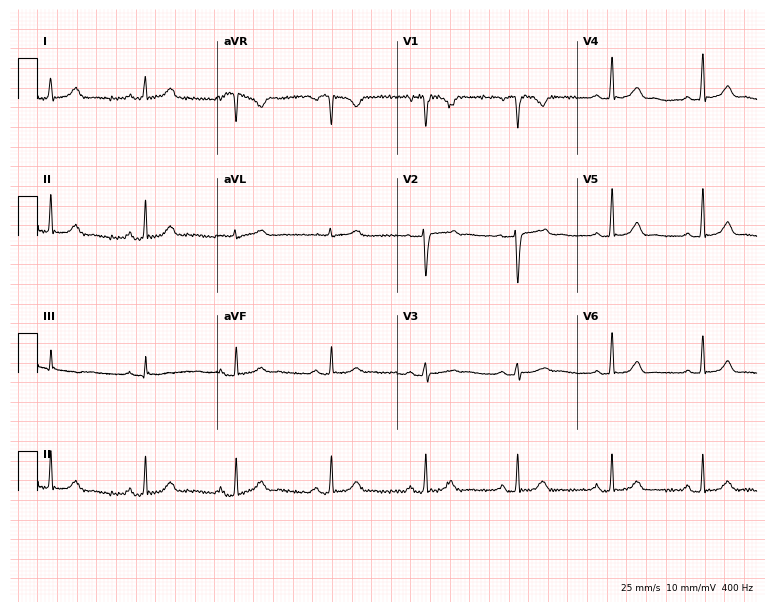
Electrocardiogram, a 33-year-old female patient. Of the six screened findings (first-degree AV block, right bundle branch block, left bundle branch block, sinus bradycardia, atrial fibrillation, sinus tachycardia), none is recorded. Findings outside these six are not listed.